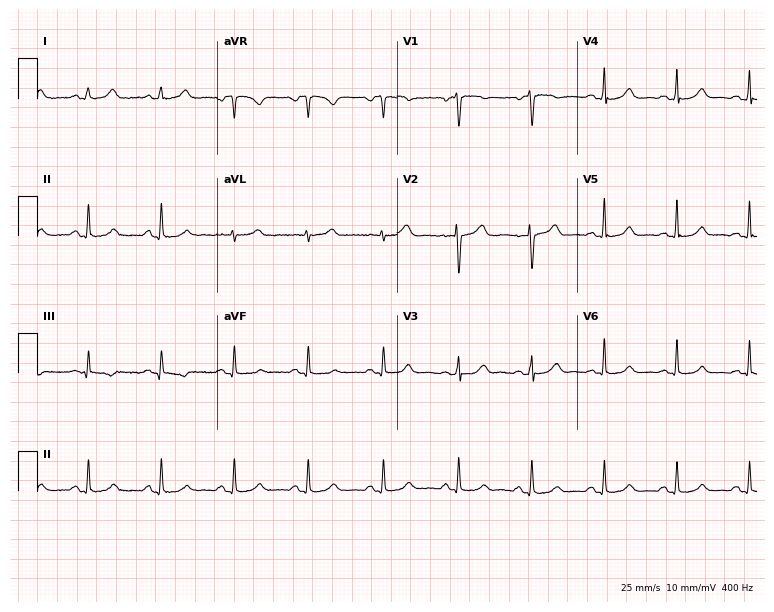
12-lead ECG from a woman, 45 years old. Recorded interpretation: within normal limits.